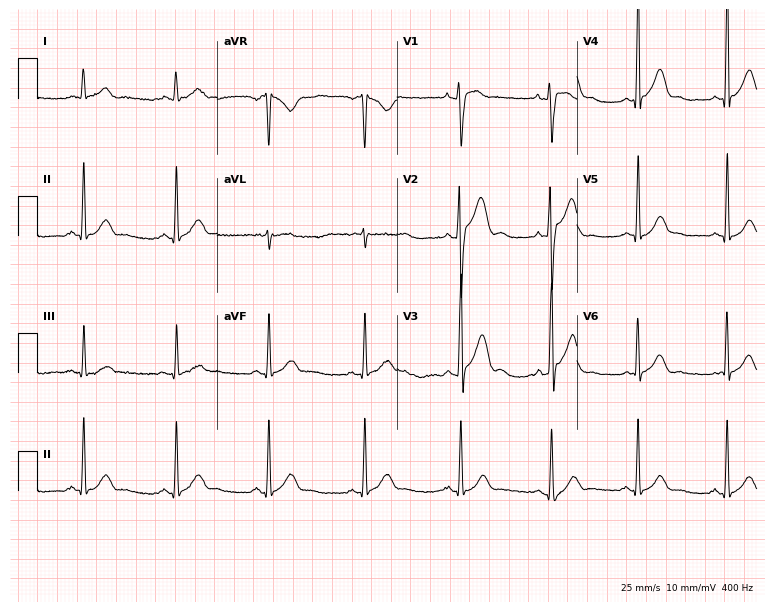
12-lead ECG from a 27-year-old man. Screened for six findings — first-degree AV block, right bundle branch block (RBBB), left bundle branch block (LBBB), sinus bradycardia, atrial fibrillation (AF), sinus tachycardia — none is recorded.